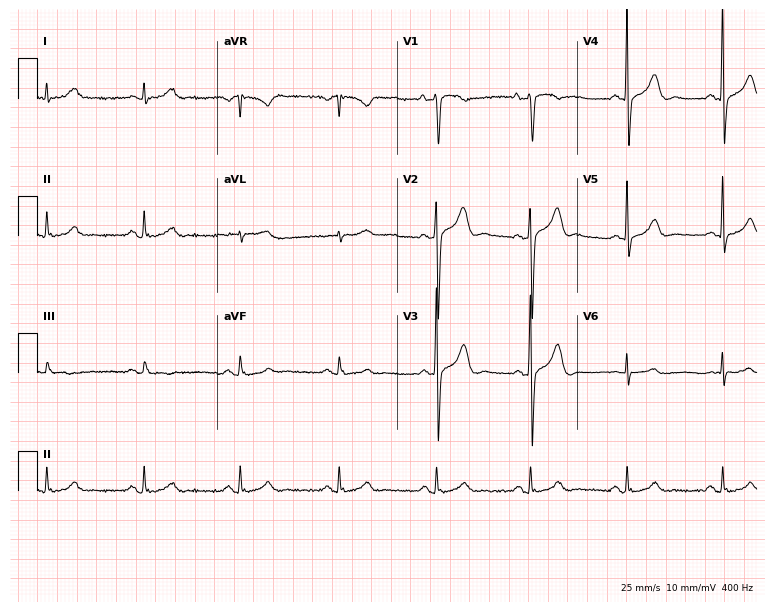
12-lead ECG from a man, 79 years old. Labelled as a normal ECG.